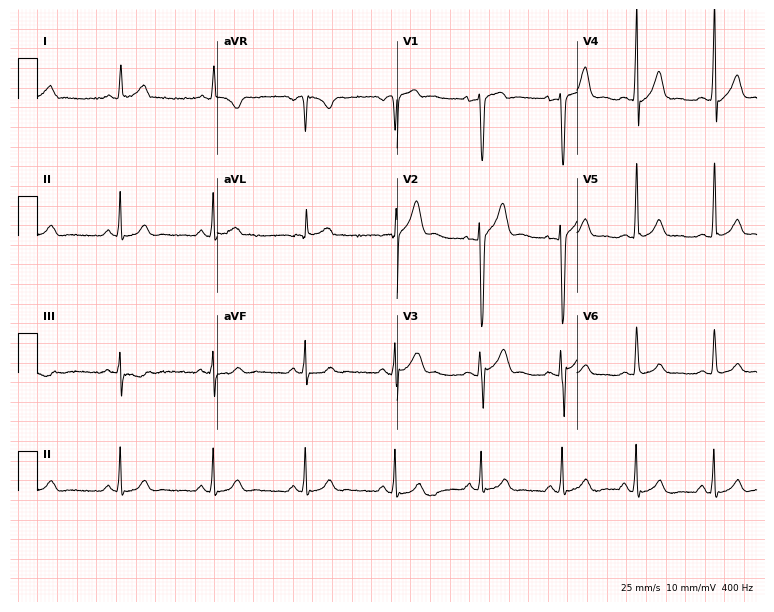
Standard 12-lead ECG recorded from a 25-year-old male (7.3-second recording at 400 Hz). None of these six findings is recorded: first-degree AV block, right bundle branch block, left bundle branch block, sinus bradycardia, atrial fibrillation, sinus tachycardia. Findings outside these six are not listed.